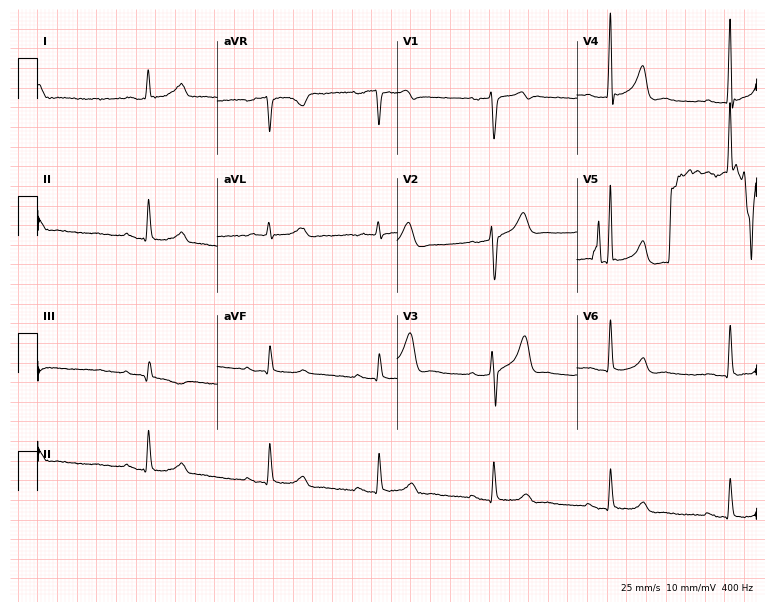
Resting 12-lead electrocardiogram. Patient: a man, 62 years old. None of these six findings is recorded: first-degree AV block, right bundle branch block, left bundle branch block, sinus bradycardia, atrial fibrillation, sinus tachycardia. Only these six findings were labelled.